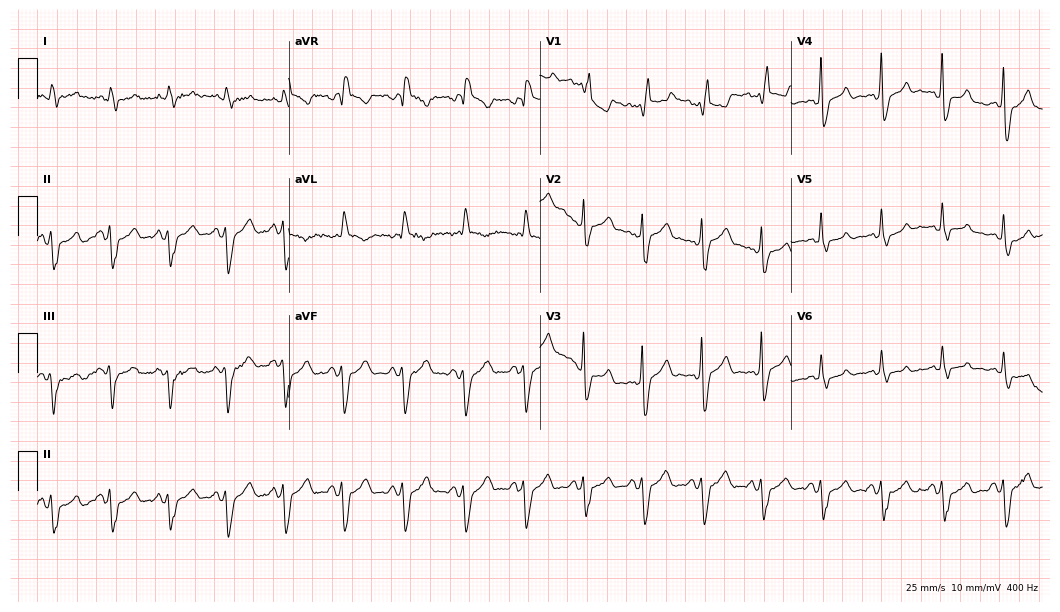
12-lead ECG (10.2-second recording at 400 Hz) from a man, 68 years old. Screened for six findings — first-degree AV block, right bundle branch block, left bundle branch block, sinus bradycardia, atrial fibrillation, sinus tachycardia — none is recorded.